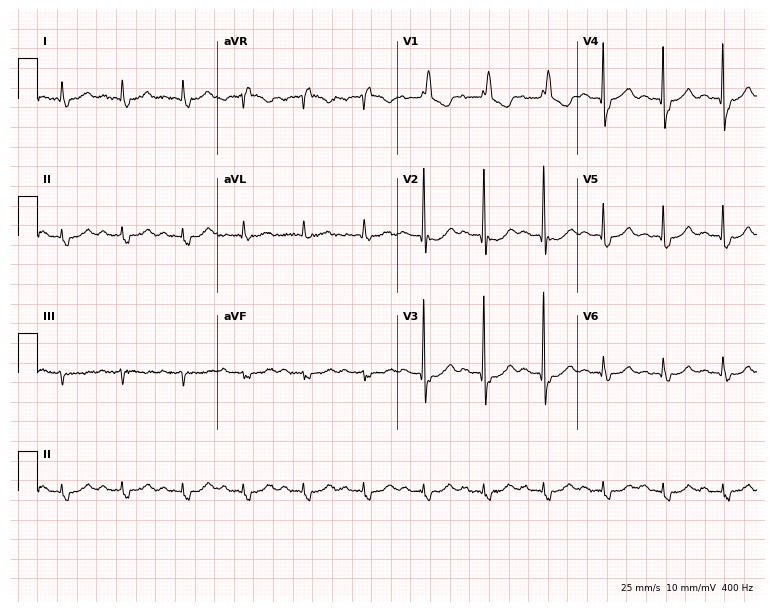
Electrocardiogram, a female, 79 years old. Interpretation includes right bundle branch block.